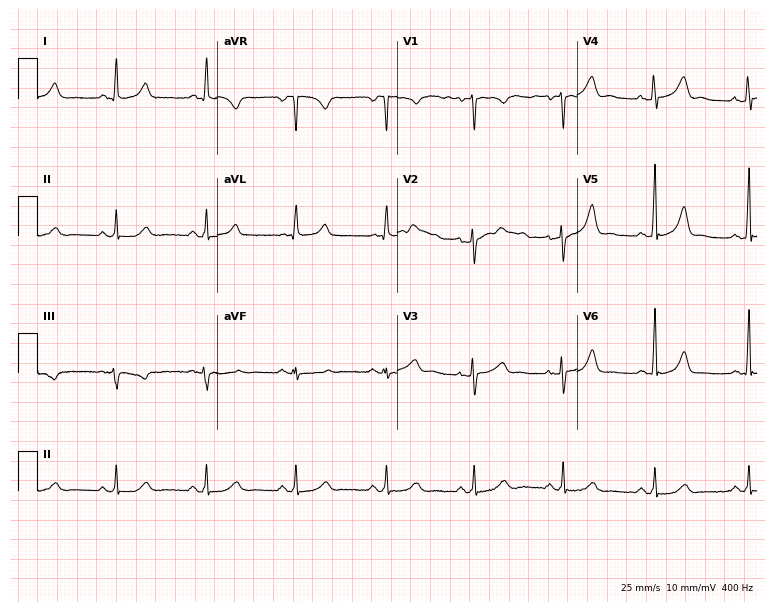
12-lead ECG from a 59-year-old female. Labelled as a normal ECG.